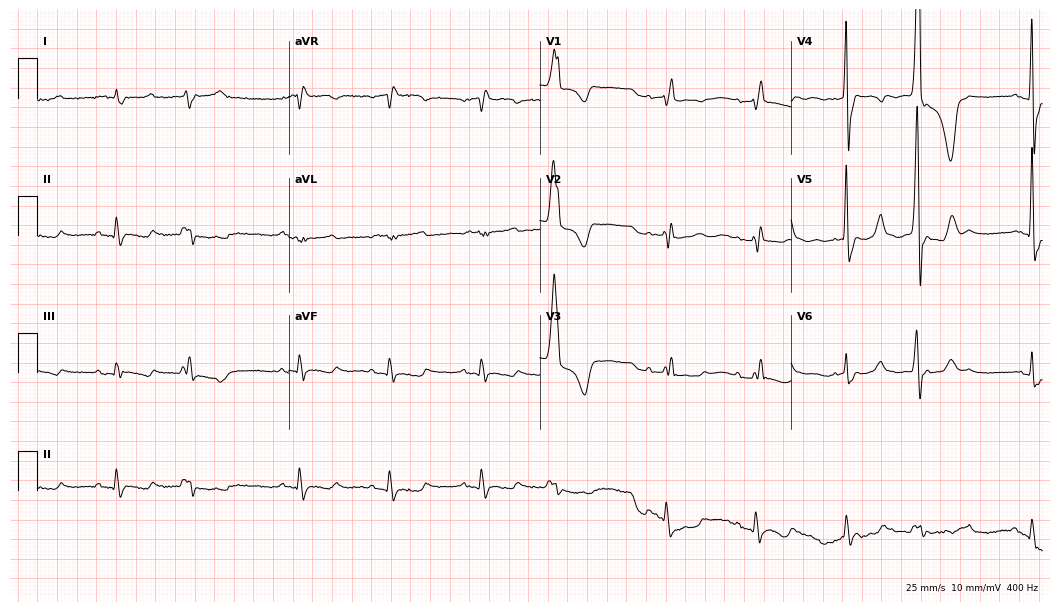
12-lead ECG (10.2-second recording at 400 Hz) from a woman, 81 years old. Screened for six findings — first-degree AV block, right bundle branch block (RBBB), left bundle branch block (LBBB), sinus bradycardia, atrial fibrillation (AF), sinus tachycardia — none is recorded. Other findings, if any, are not listed.